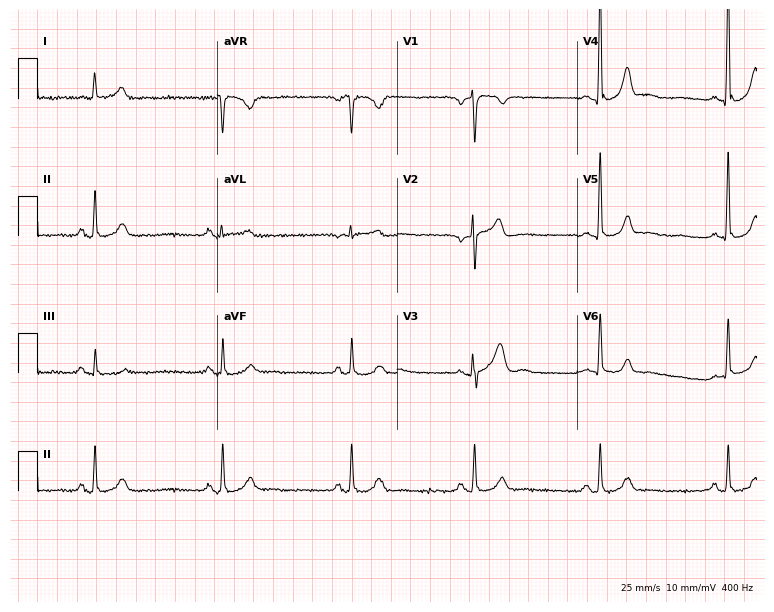
Standard 12-lead ECG recorded from a male patient, 58 years old (7.3-second recording at 400 Hz). The tracing shows sinus bradycardia (a sinus rate of 50 beats per minute or less).